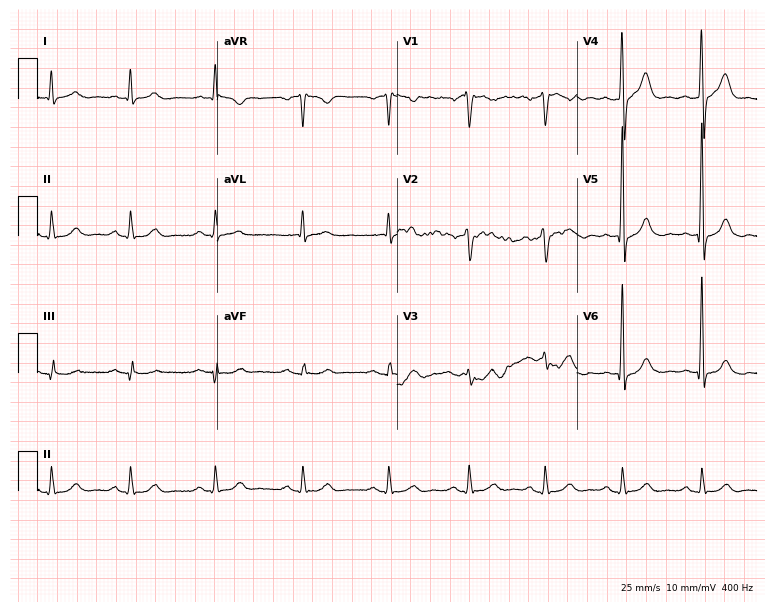
Electrocardiogram (7.3-second recording at 400 Hz), a 52-year-old man. Overall reading on record: normal ECG.